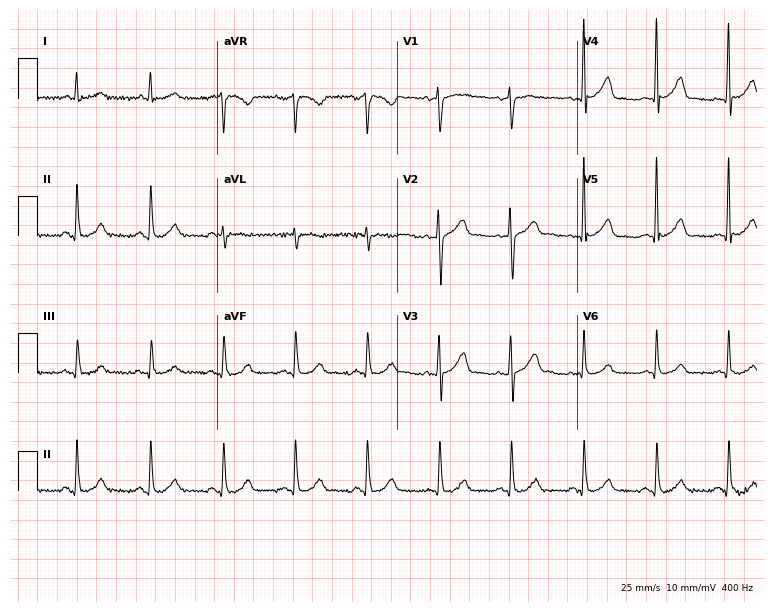
Resting 12-lead electrocardiogram. Patient: a male, 76 years old. Read as a normal ECG.